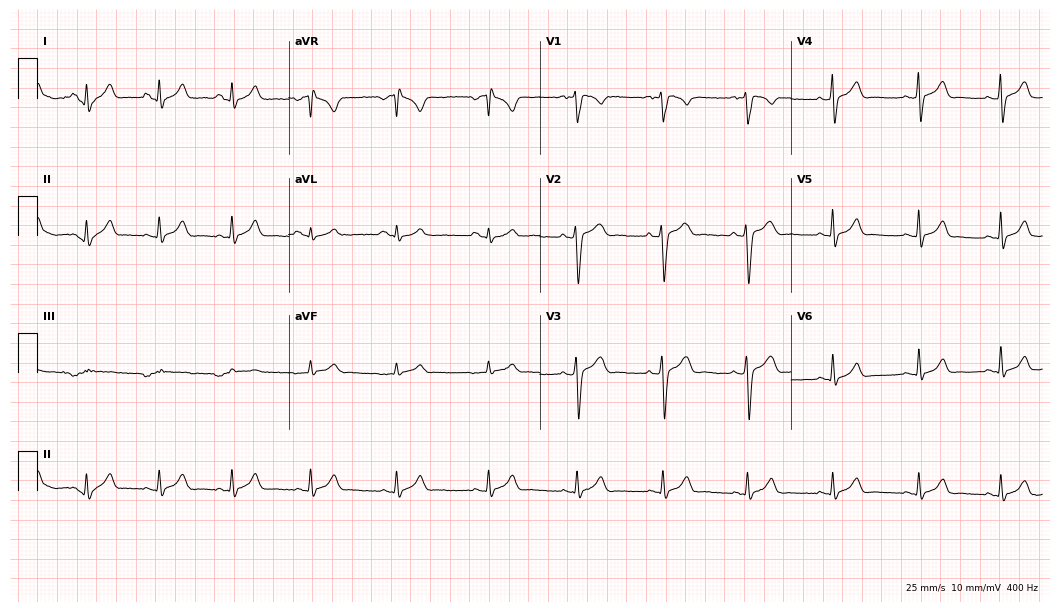
ECG (10.2-second recording at 400 Hz) — a 25-year-old male patient. Labelled as a normal ECG.